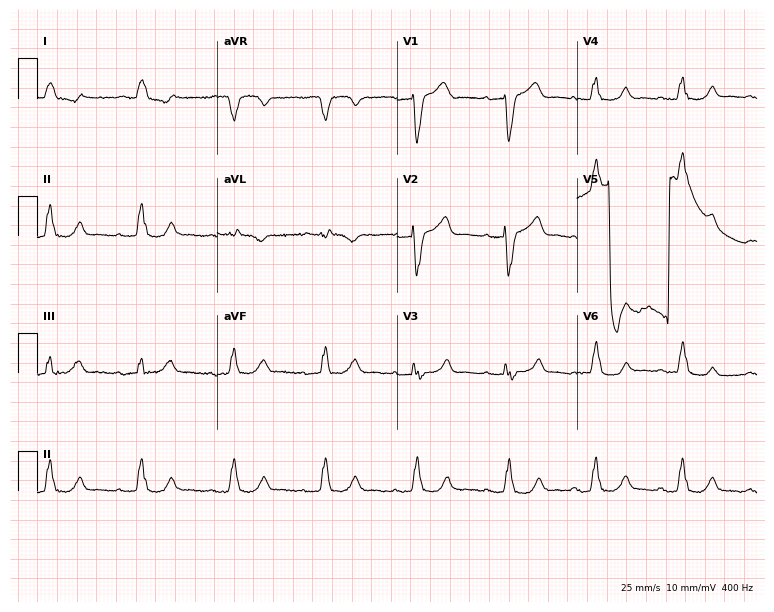
12-lead ECG from a female patient, 77 years old (7.3-second recording at 400 Hz). No first-degree AV block, right bundle branch block, left bundle branch block, sinus bradycardia, atrial fibrillation or sinus tachycardia recorded for this tracing. Only these six findings were labelled.